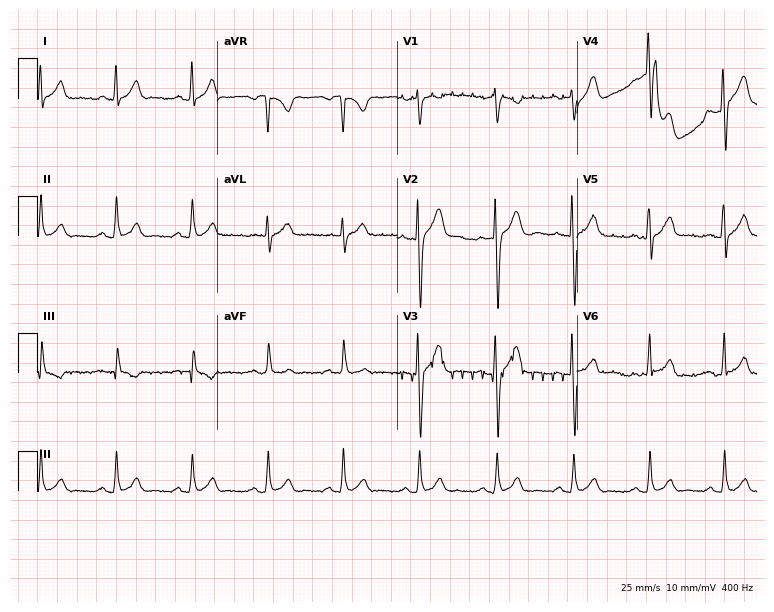
12-lead ECG from a 39-year-old female patient. Recorded interpretation: within normal limits.